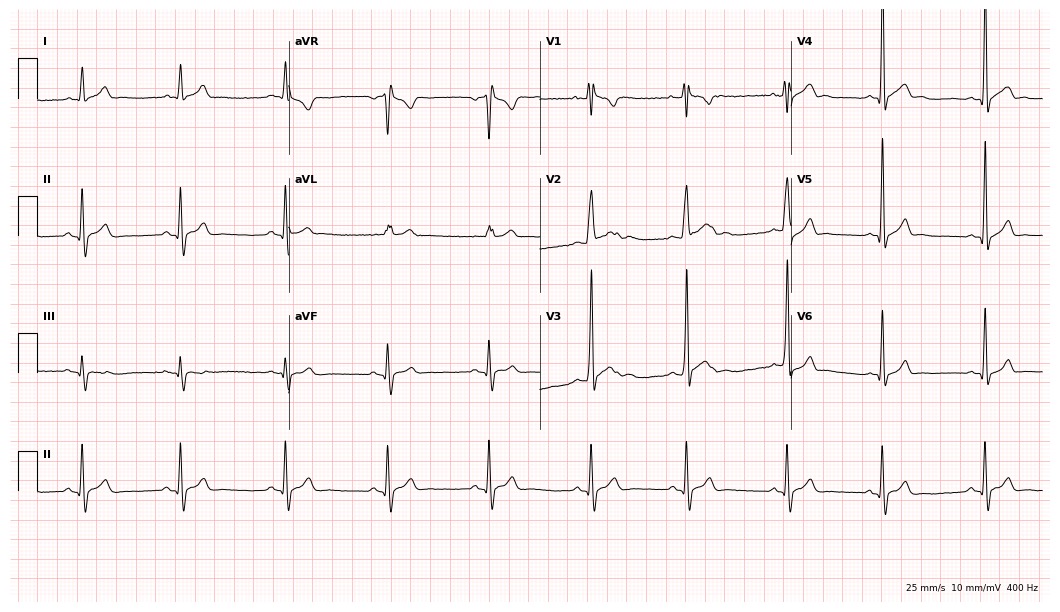
Resting 12-lead electrocardiogram. Patient: a 20-year-old male. None of these six findings is recorded: first-degree AV block, right bundle branch block, left bundle branch block, sinus bradycardia, atrial fibrillation, sinus tachycardia.